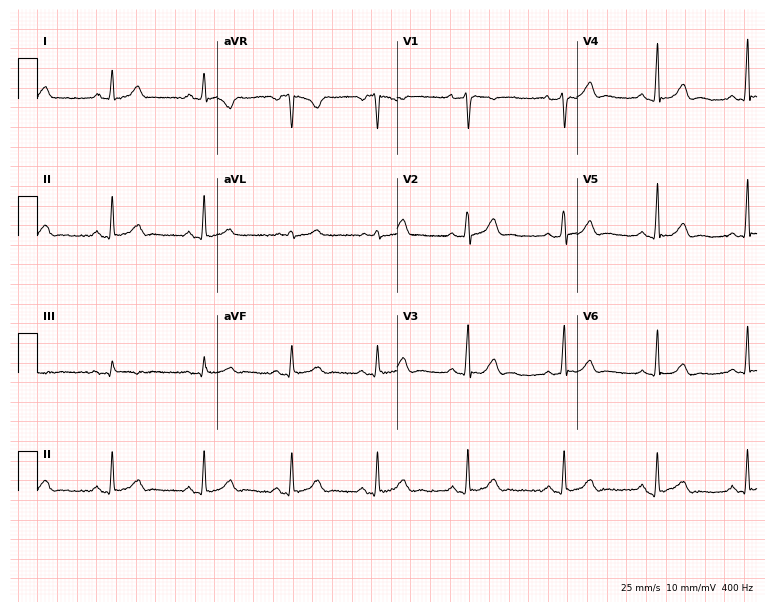
Standard 12-lead ECG recorded from a 35-year-old woman. Read as a normal ECG.